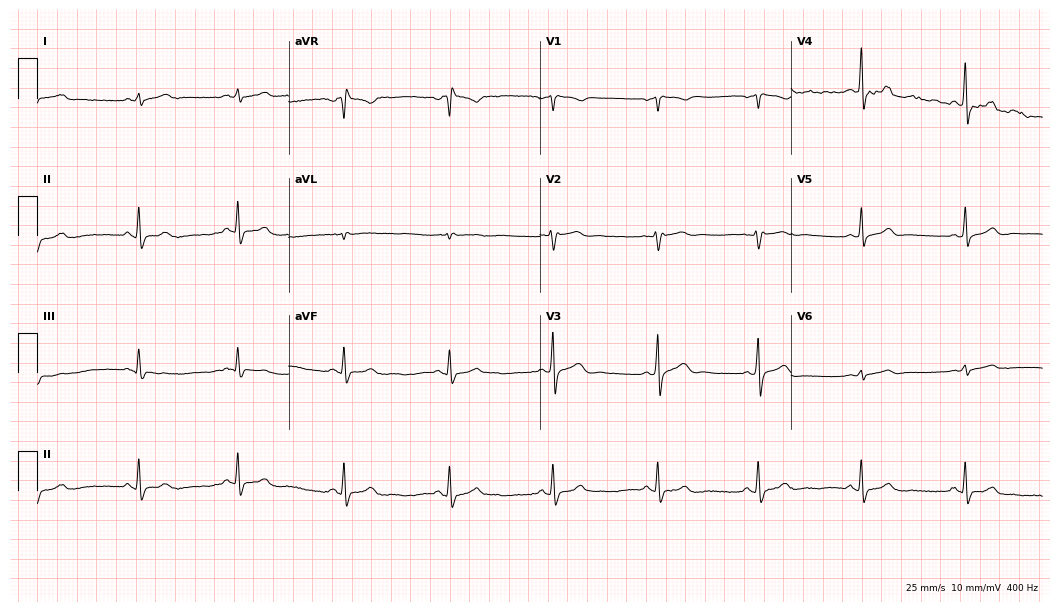
12-lead ECG (10.2-second recording at 400 Hz) from a male, 43 years old. Screened for six findings — first-degree AV block, right bundle branch block (RBBB), left bundle branch block (LBBB), sinus bradycardia, atrial fibrillation (AF), sinus tachycardia — none is recorded.